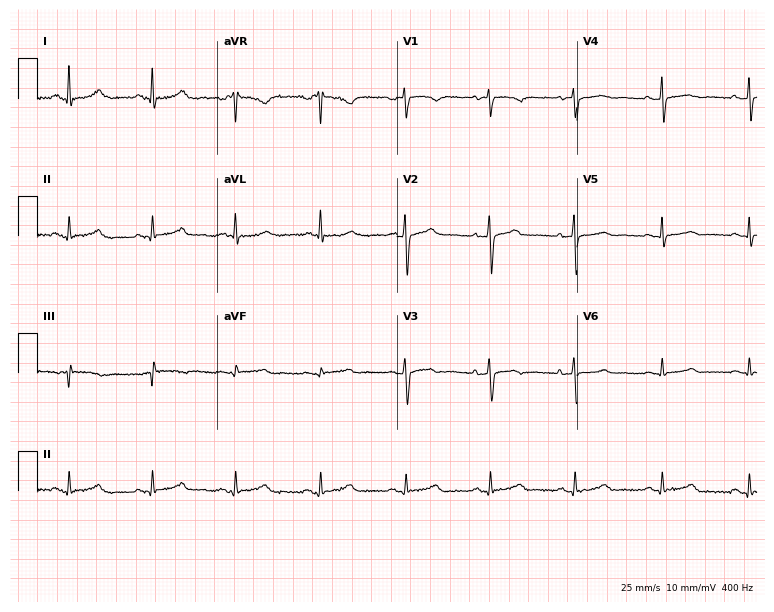
Standard 12-lead ECG recorded from a woman, 53 years old (7.3-second recording at 400 Hz). Read as a normal ECG.